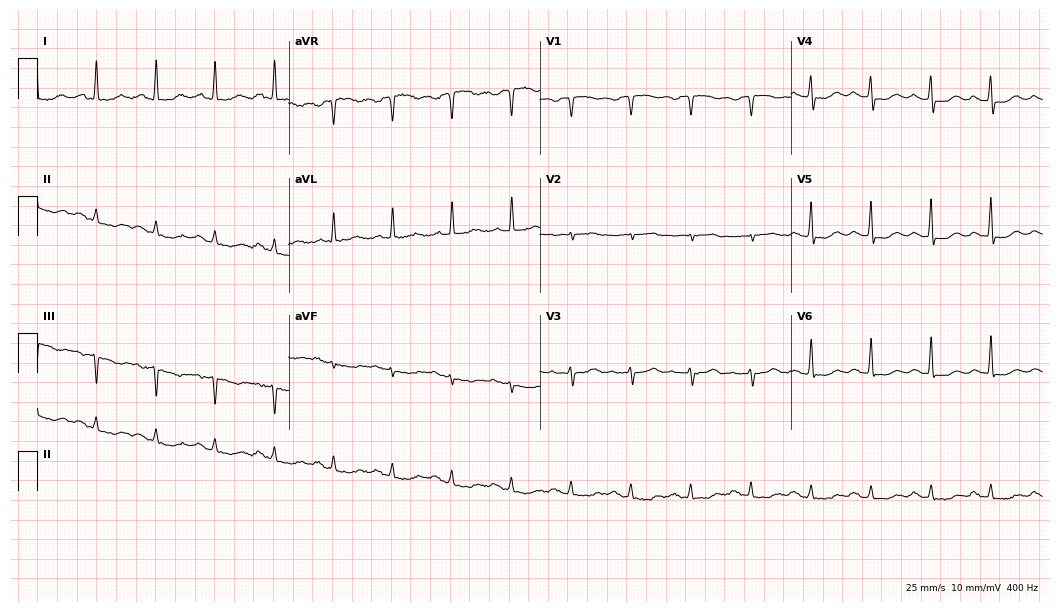
ECG (10.2-second recording at 400 Hz) — a female patient, 68 years old. Screened for six findings — first-degree AV block, right bundle branch block (RBBB), left bundle branch block (LBBB), sinus bradycardia, atrial fibrillation (AF), sinus tachycardia — none is recorded. Only these six findings were labelled.